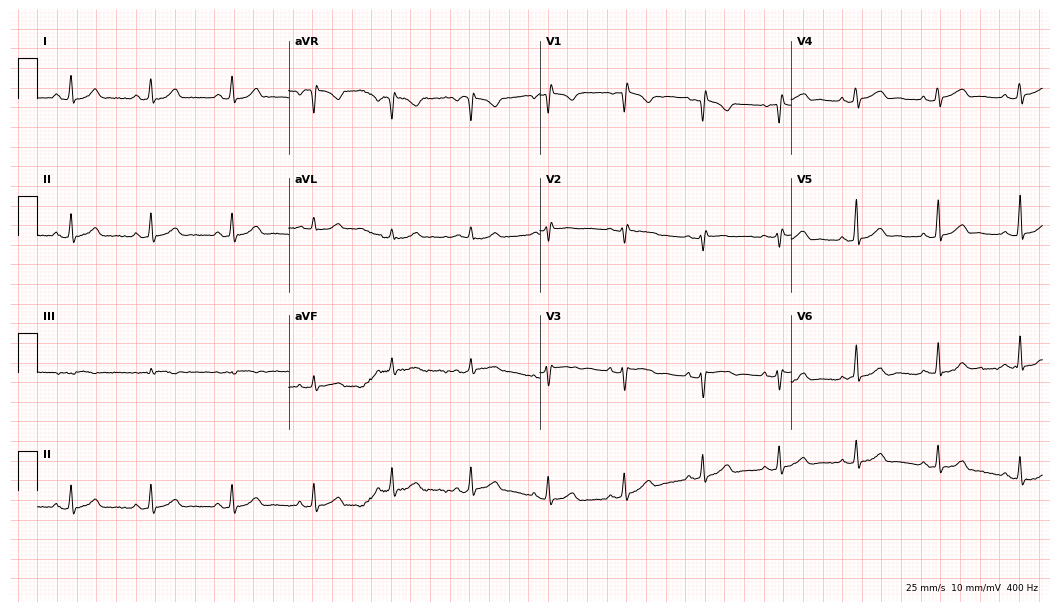
Electrocardiogram, a 27-year-old male. Of the six screened findings (first-degree AV block, right bundle branch block, left bundle branch block, sinus bradycardia, atrial fibrillation, sinus tachycardia), none is recorded.